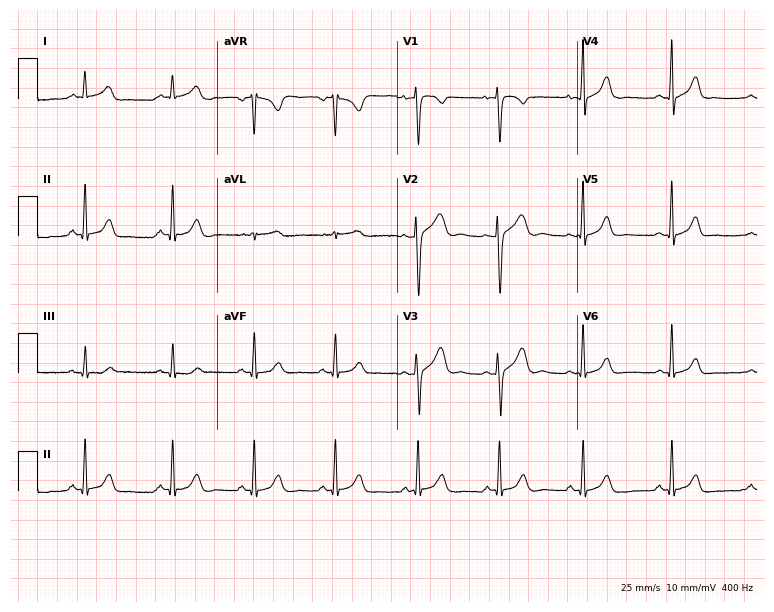
12-lead ECG from a 26-year-old female patient. Screened for six findings — first-degree AV block, right bundle branch block, left bundle branch block, sinus bradycardia, atrial fibrillation, sinus tachycardia — none is recorded. Findings outside these six are not listed.